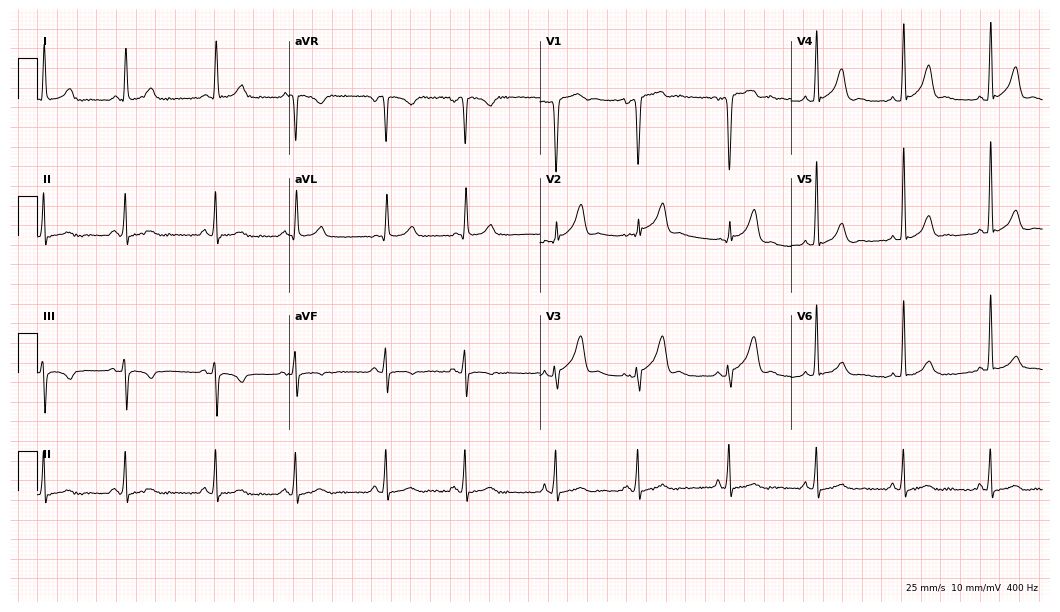
12-lead ECG from a man, 74 years old. Recorded interpretation: within normal limits.